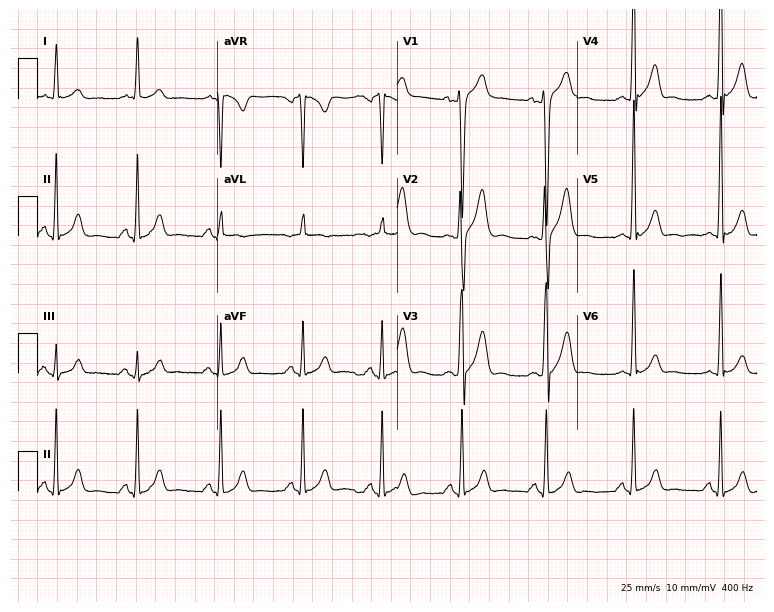
ECG — a 40-year-old male patient. Labelled as a normal ECG.